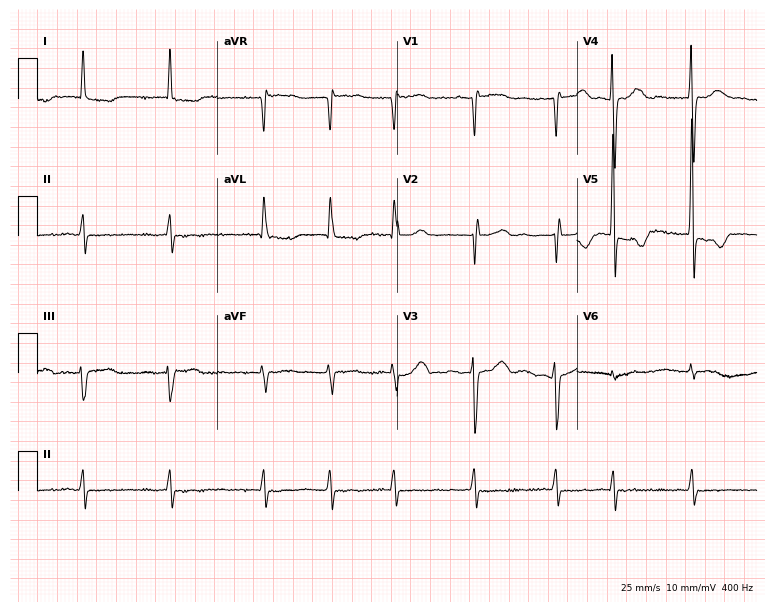
ECG (7.3-second recording at 400 Hz) — an 84-year-old female patient. Screened for six findings — first-degree AV block, right bundle branch block, left bundle branch block, sinus bradycardia, atrial fibrillation, sinus tachycardia — none is recorded.